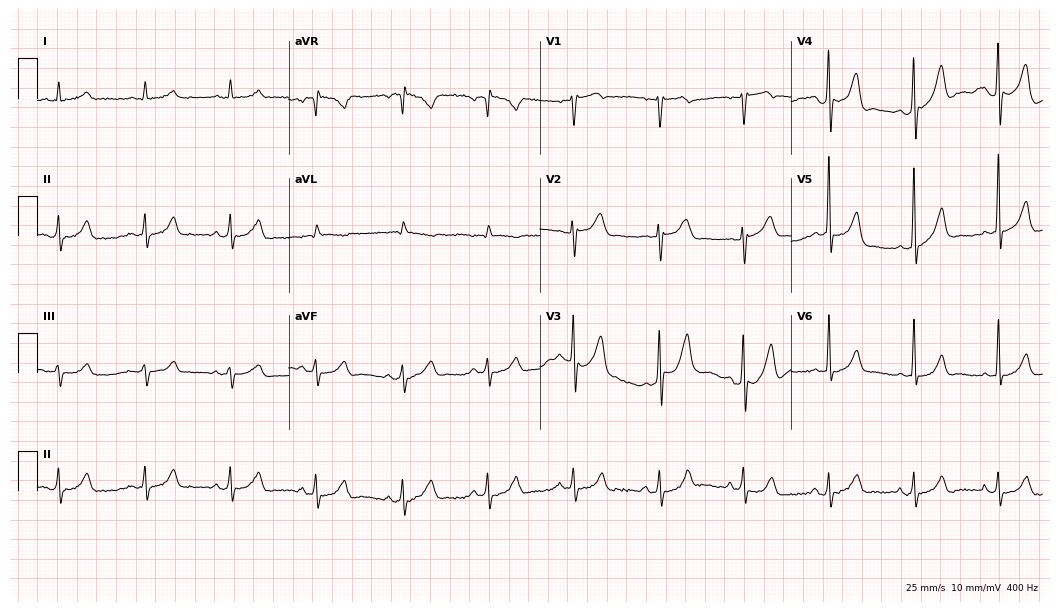
12-lead ECG from a man, 34 years old. Screened for six findings — first-degree AV block, right bundle branch block, left bundle branch block, sinus bradycardia, atrial fibrillation, sinus tachycardia — none is recorded.